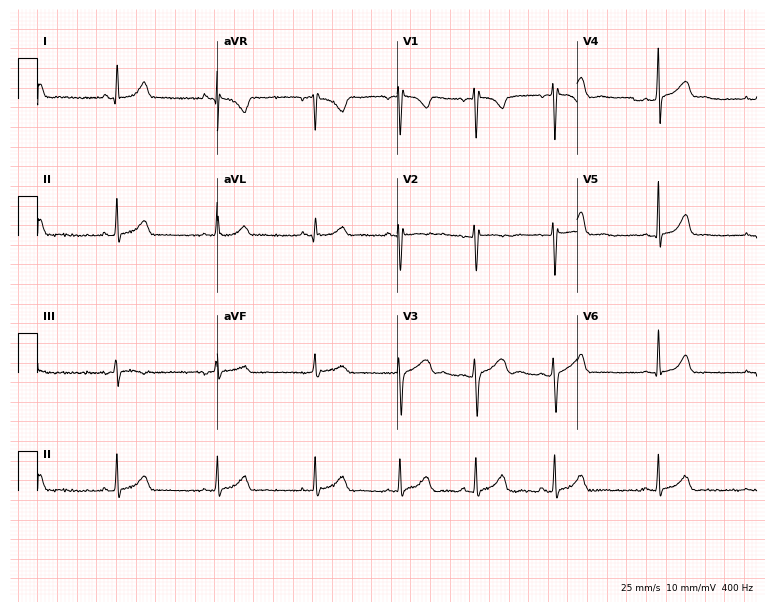
Electrocardiogram, a 19-year-old female. Overall reading on record: normal ECG.